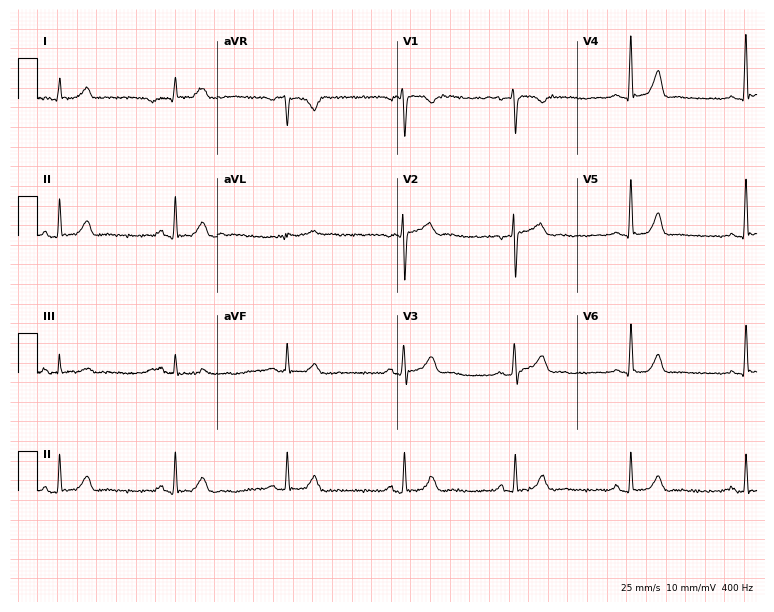
Resting 12-lead electrocardiogram (7.3-second recording at 400 Hz). Patient: a woman, 36 years old. Read as a normal ECG.